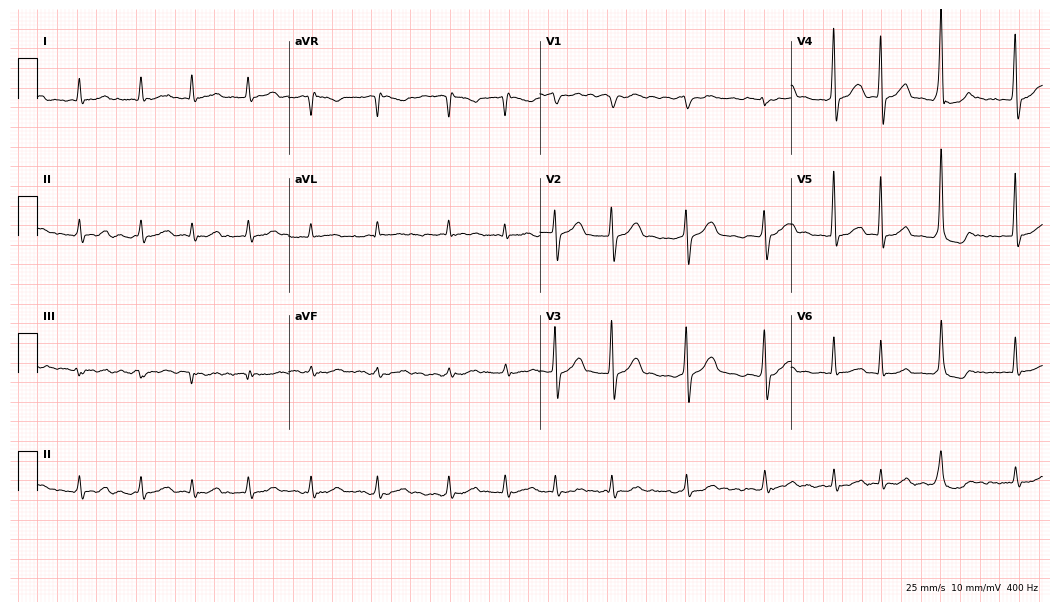
12-lead ECG from a man, 71 years old. Shows atrial fibrillation (AF).